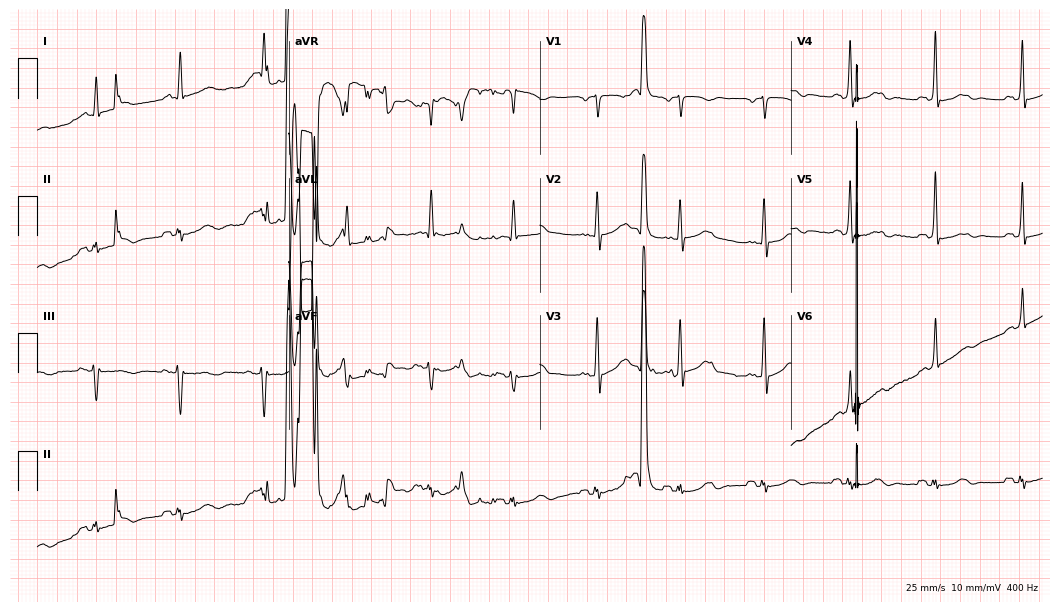
Electrocardiogram (10.2-second recording at 400 Hz), an 83-year-old female patient. Of the six screened findings (first-degree AV block, right bundle branch block, left bundle branch block, sinus bradycardia, atrial fibrillation, sinus tachycardia), none is recorded.